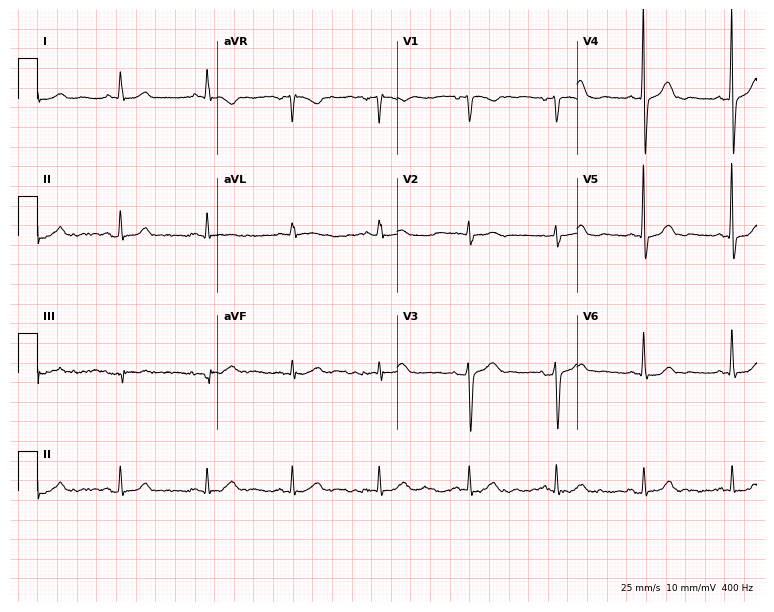
ECG (7.3-second recording at 400 Hz) — a female patient, 60 years old. Labelled as a normal ECG.